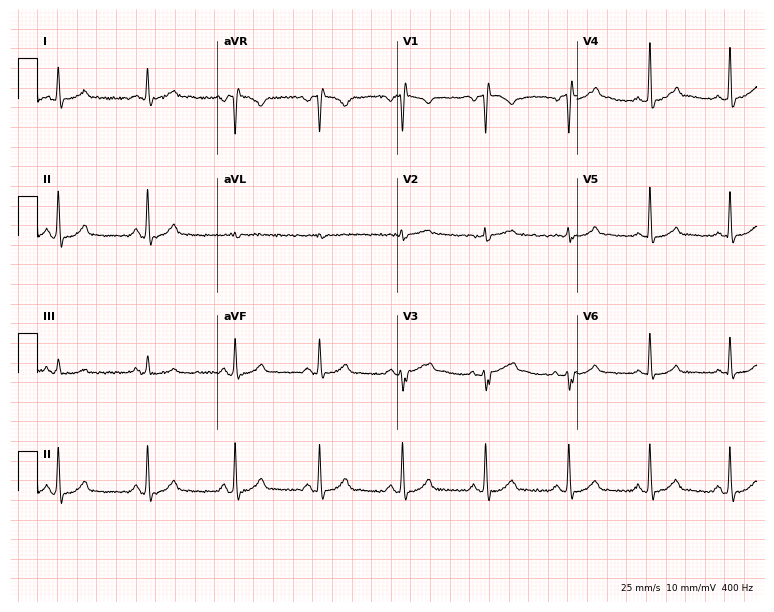
Electrocardiogram (7.3-second recording at 400 Hz), a 59-year-old male patient. Of the six screened findings (first-degree AV block, right bundle branch block, left bundle branch block, sinus bradycardia, atrial fibrillation, sinus tachycardia), none is recorded.